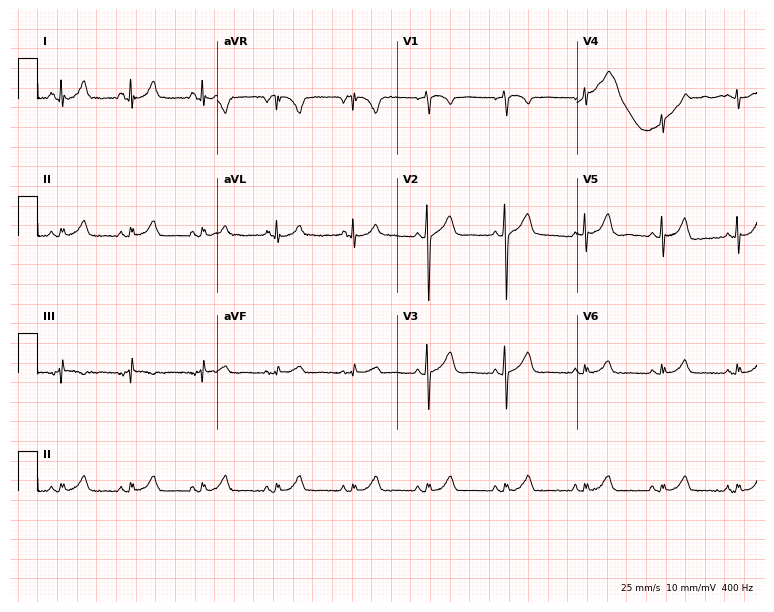
12-lead ECG from a 39-year-old woman (7.3-second recording at 400 Hz). No first-degree AV block, right bundle branch block, left bundle branch block, sinus bradycardia, atrial fibrillation or sinus tachycardia recorded for this tracing. Only these six findings were labelled.